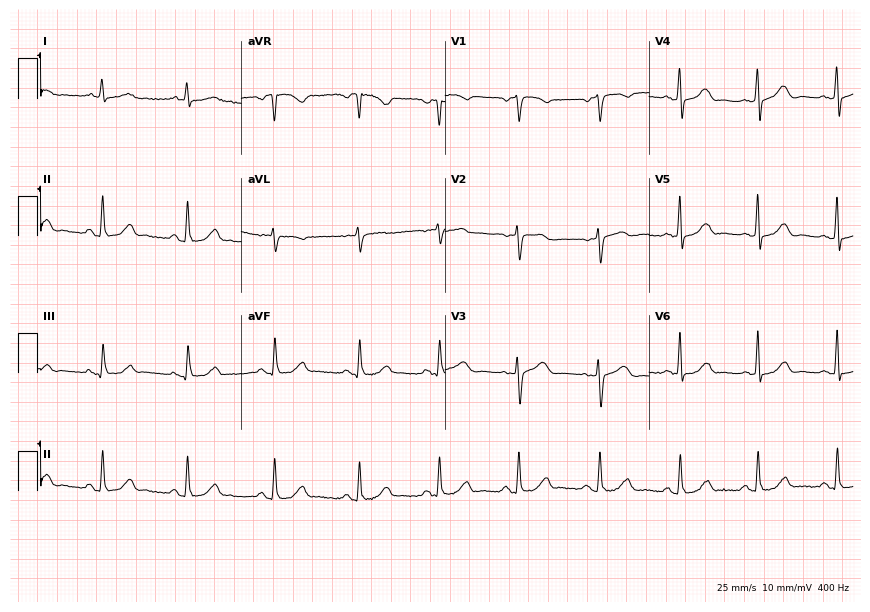
12-lead ECG from a female, 52 years old (8.3-second recording at 400 Hz). No first-degree AV block, right bundle branch block, left bundle branch block, sinus bradycardia, atrial fibrillation or sinus tachycardia recorded for this tracing. Other findings, if any, are not listed.